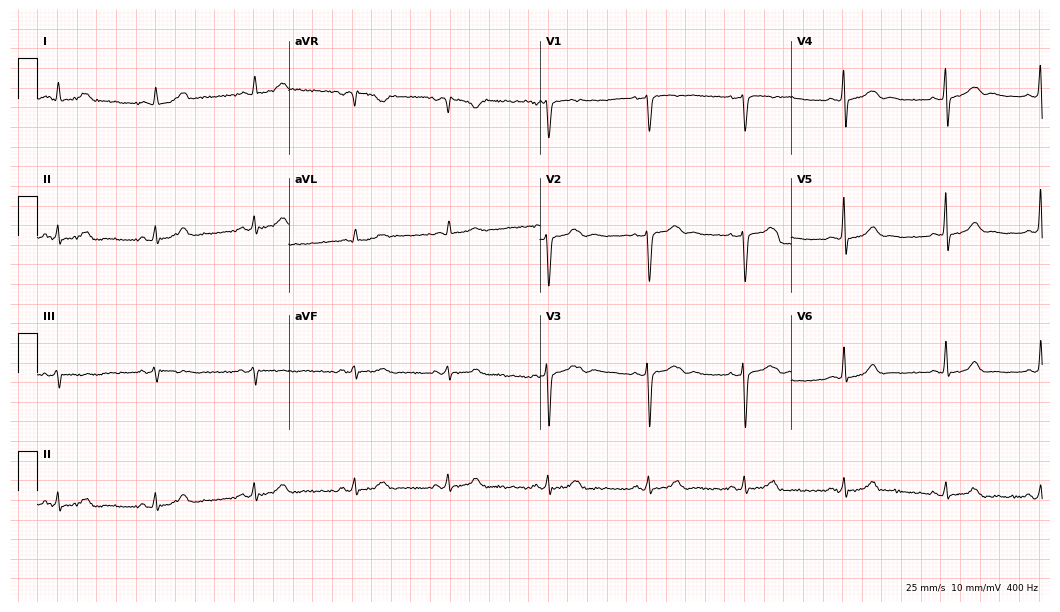
Standard 12-lead ECG recorded from a female patient, 39 years old. None of these six findings is recorded: first-degree AV block, right bundle branch block, left bundle branch block, sinus bradycardia, atrial fibrillation, sinus tachycardia.